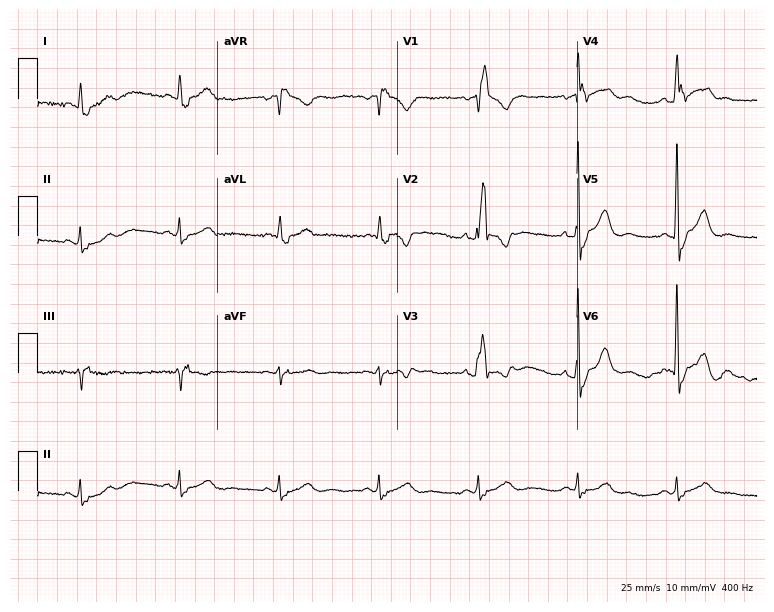
Electrocardiogram, a 76-year-old male patient. Of the six screened findings (first-degree AV block, right bundle branch block, left bundle branch block, sinus bradycardia, atrial fibrillation, sinus tachycardia), none is recorded.